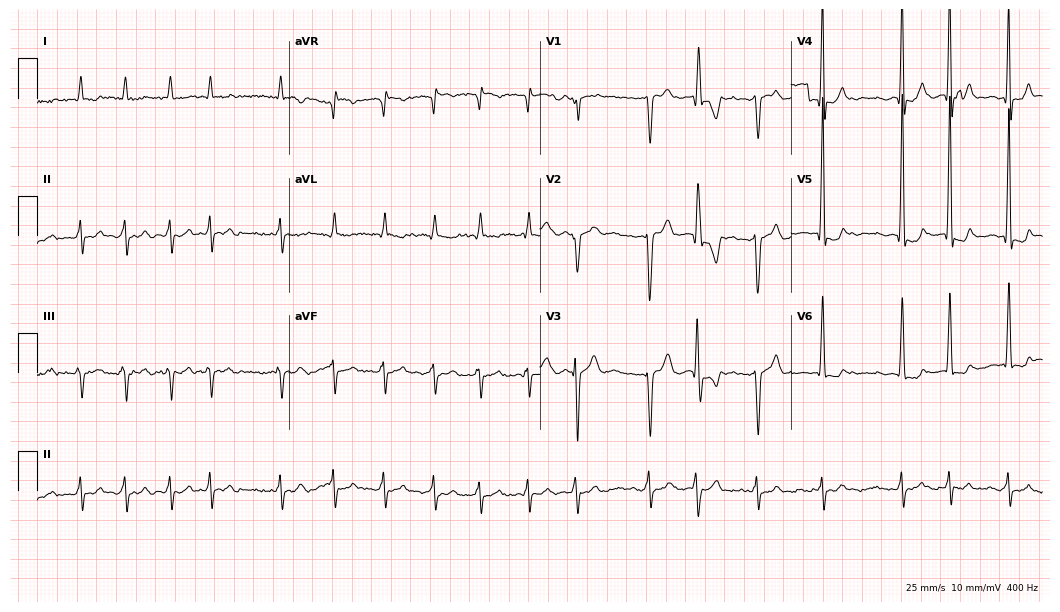
ECG — a male, 73 years old. Findings include atrial fibrillation.